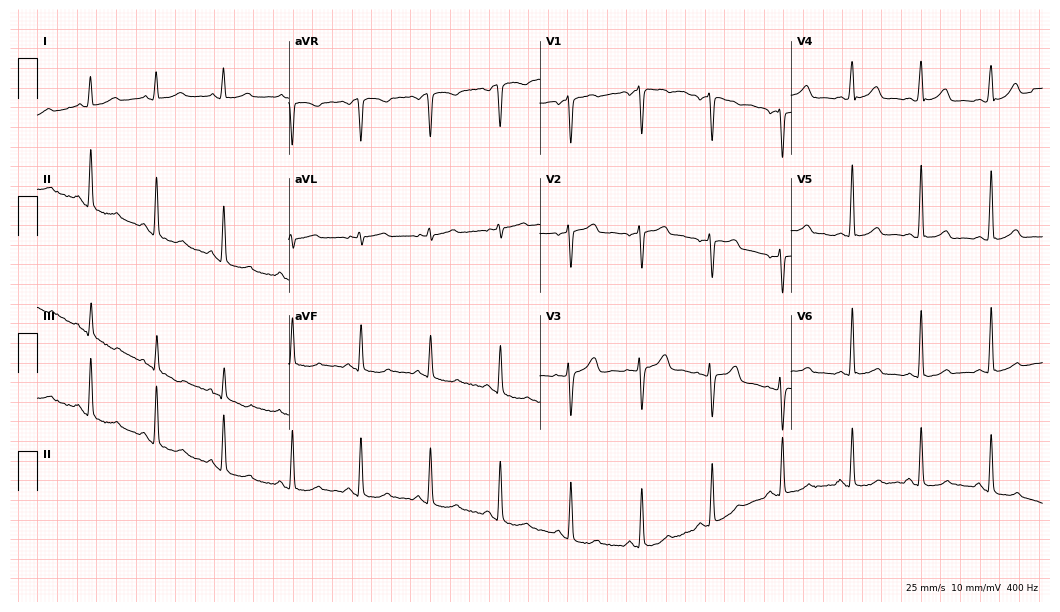
12-lead ECG from a female, 56 years old. Labelled as a normal ECG.